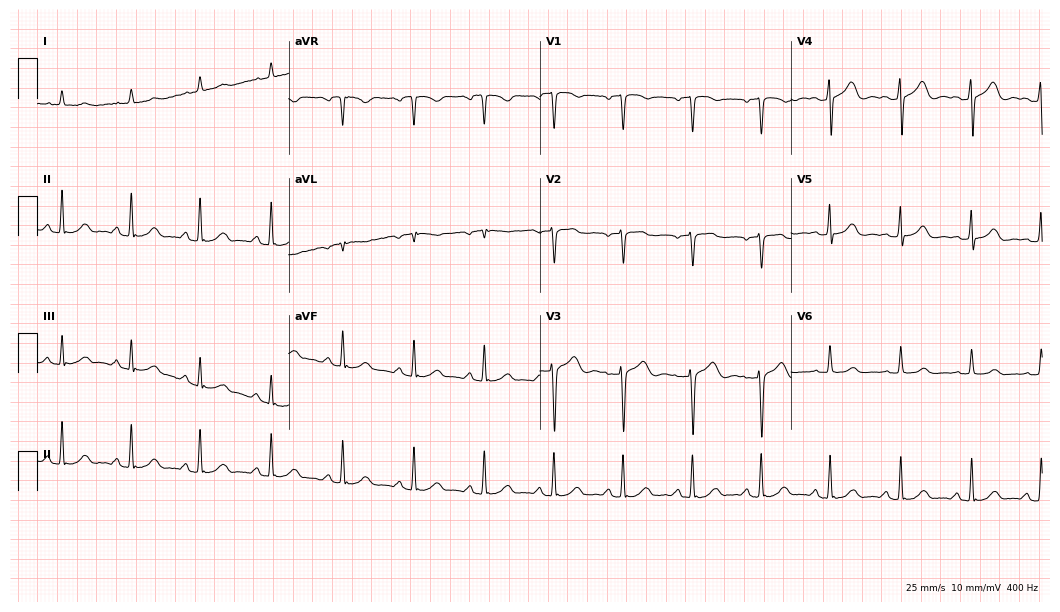
12-lead ECG from a 34-year-old man (10.2-second recording at 400 Hz). Recorded interpretation: within normal limits.